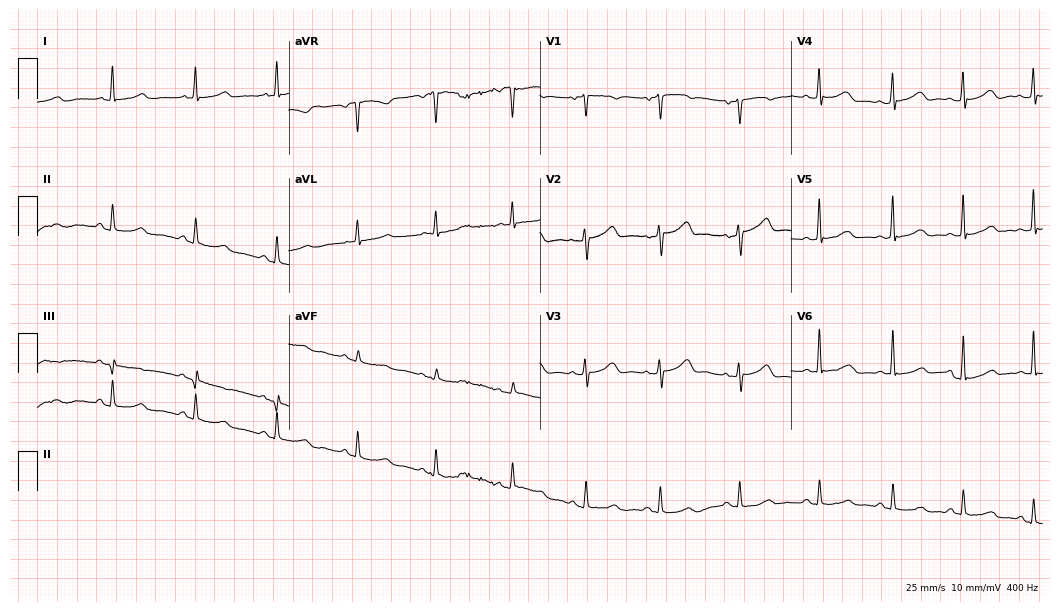
ECG (10.2-second recording at 400 Hz) — a female patient, 48 years old. Labelled as a normal ECG.